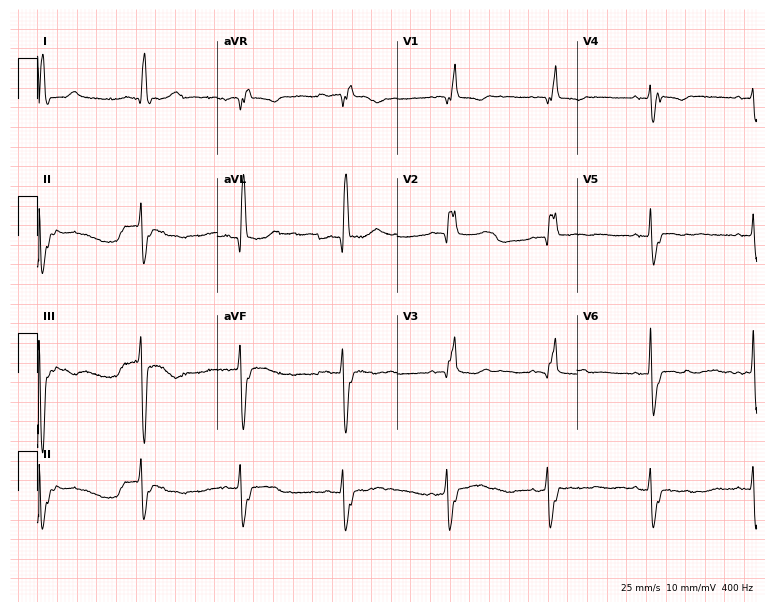
Standard 12-lead ECG recorded from an 81-year-old woman (7.3-second recording at 400 Hz). None of these six findings is recorded: first-degree AV block, right bundle branch block (RBBB), left bundle branch block (LBBB), sinus bradycardia, atrial fibrillation (AF), sinus tachycardia.